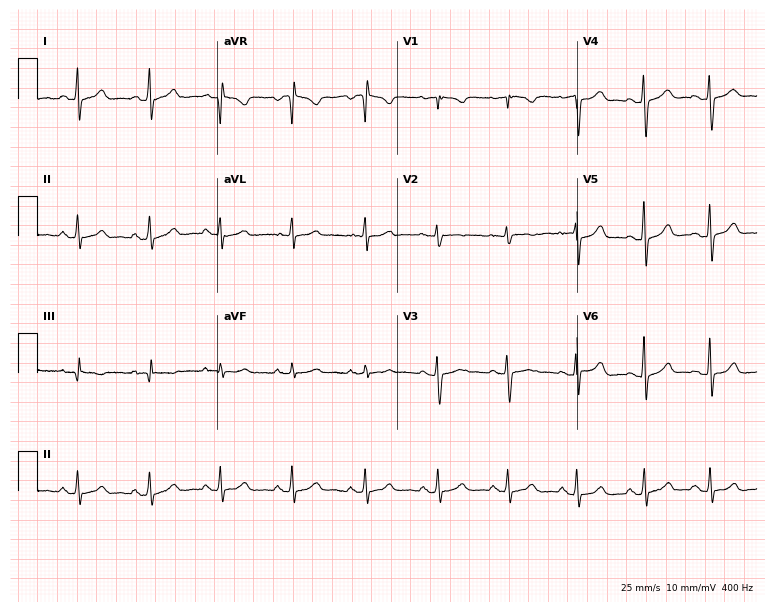
Resting 12-lead electrocardiogram. Patient: a 30-year-old woman. Read as a normal ECG.